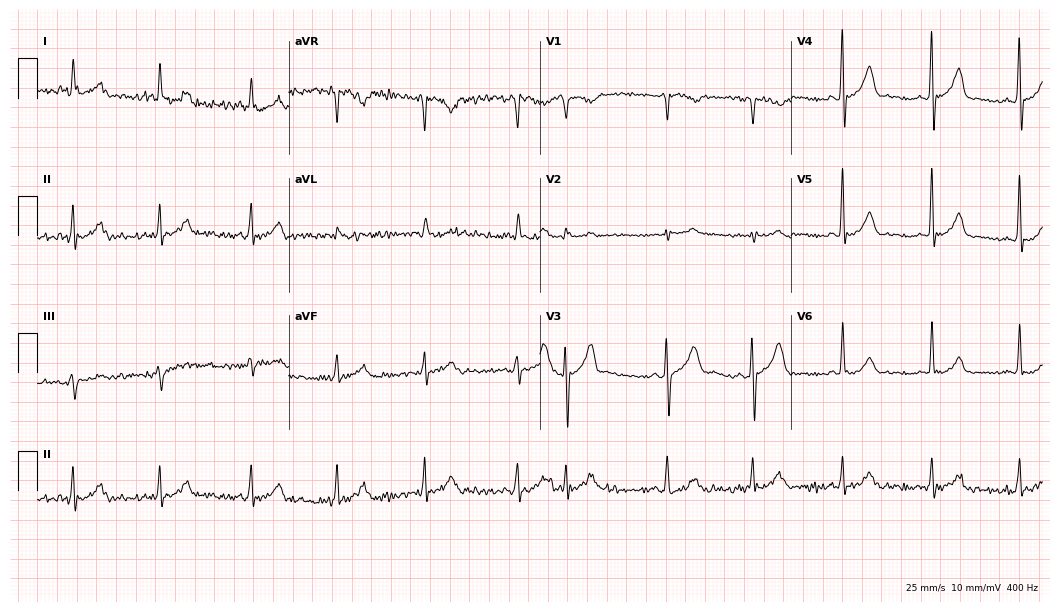
12-lead ECG from a male, 68 years old (10.2-second recording at 400 Hz). No first-degree AV block, right bundle branch block (RBBB), left bundle branch block (LBBB), sinus bradycardia, atrial fibrillation (AF) or sinus tachycardia recorded for this tracing.